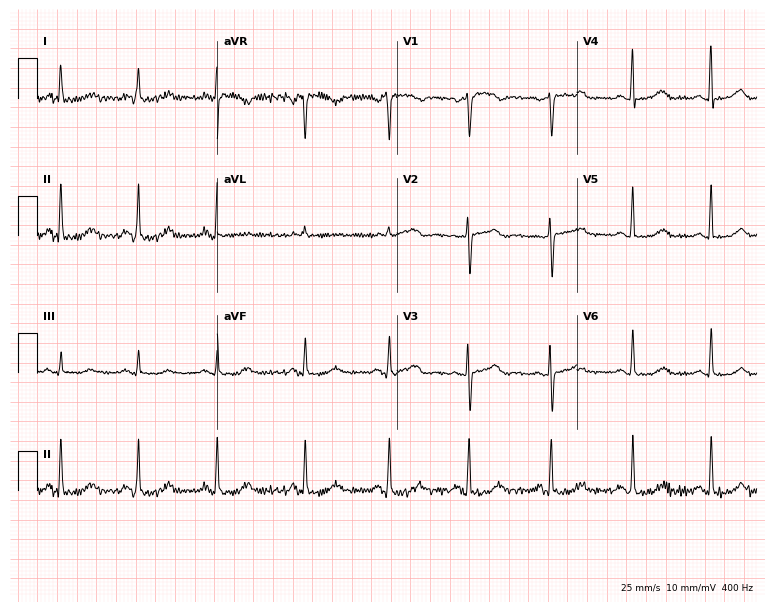
12-lead ECG from a 50-year-old female. Recorded interpretation: within normal limits.